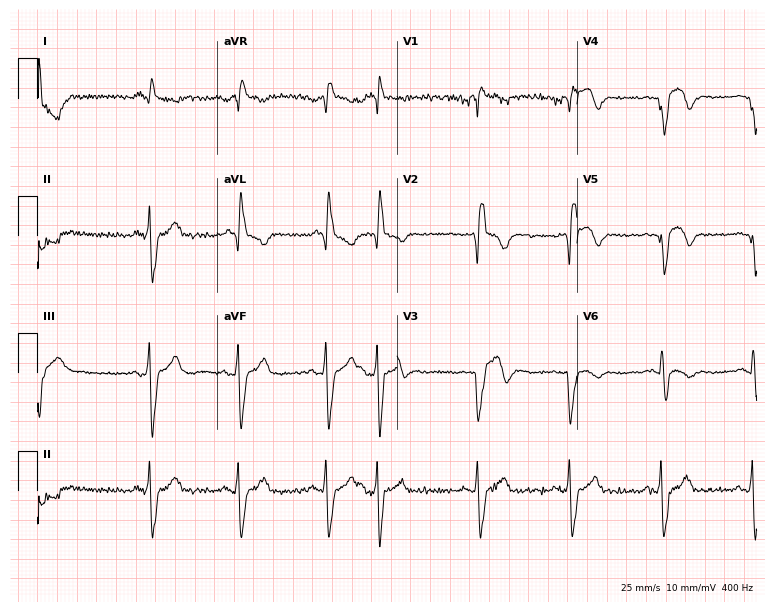
Electrocardiogram, an 85-year-old man. Of the six screened findings (first-degree AV block, right bundle branch block, left bundle branch block, sinus bradycardia, atrial fibrillation, sinus tachycardia), none is recorded.